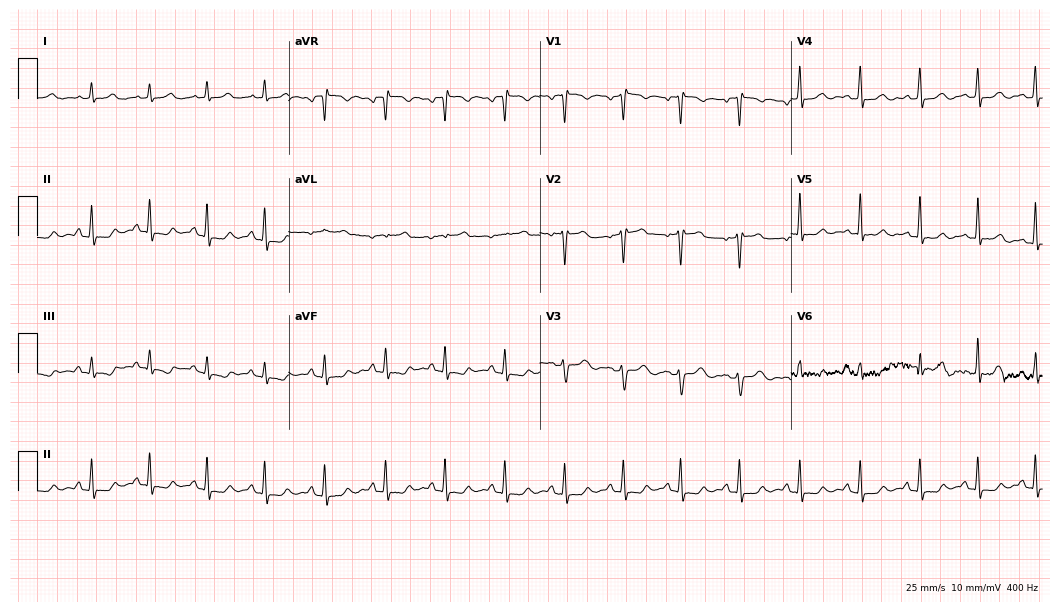
Resting 12-lead electrocardiogram. Patient: a female, 42 years old. None of these six findings is recorded: first-degree AV block, right bundle branch block, left bundle branch block, sinus bradycardia, atrial fibrillation, sinus tachycardia. Only these six findings were labelled.